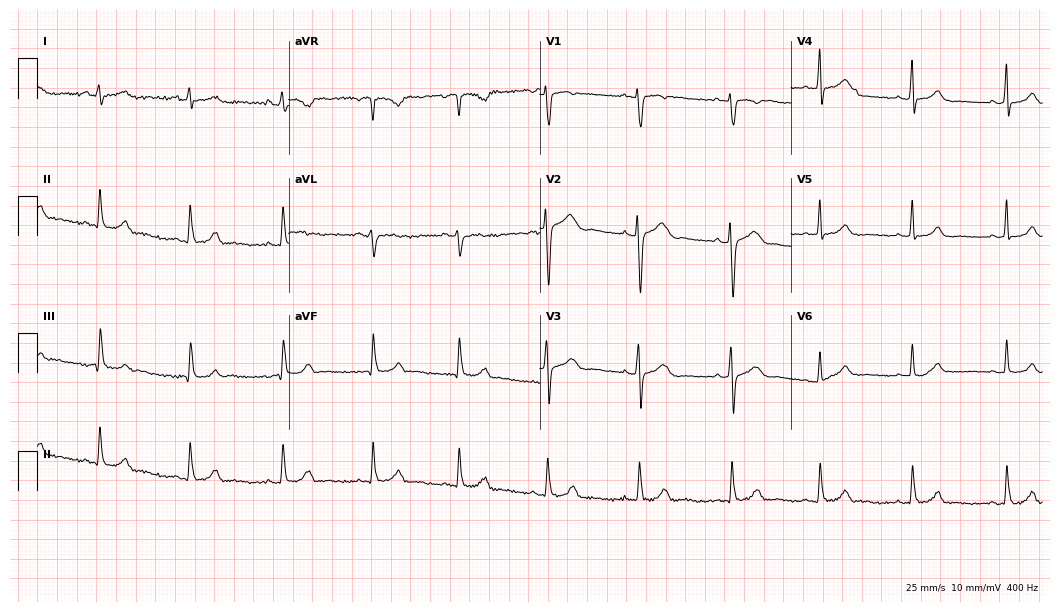
12-lead ECG from a 21-year-old woman. No first-degree AV block, right bundle branch block (RBBB), left bundle branch block (LBBB), sinus bradycardia, atrial fibrillation (AF) or sinus tachycardia recorded for this tracing.